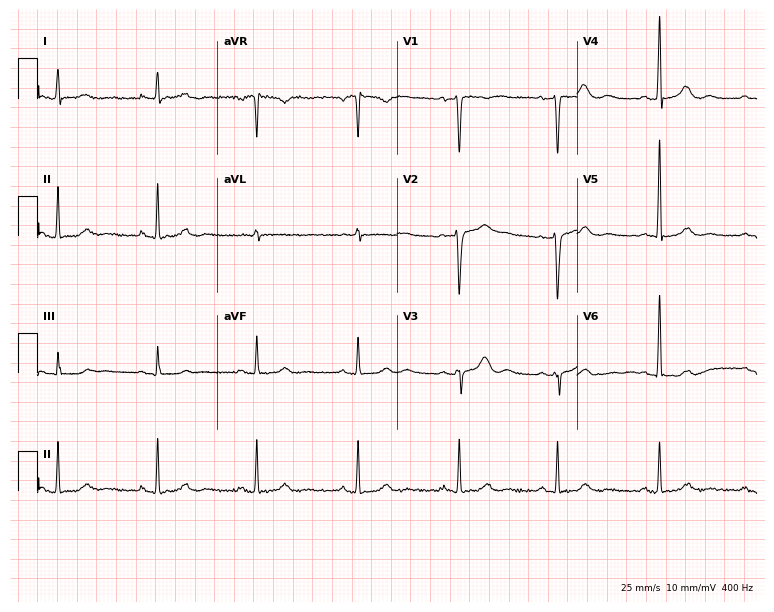
Standard 12-lead ECG recorded from a woman, 34 years old (7.3-second recording at 400 Hz). None of these six findings is recorded: first-degree AV block, right bundle branch block, left bundle branch block, sinus bradycardia, atrial fibrillation, sinus tachycardia. Only these six findings were labelled.